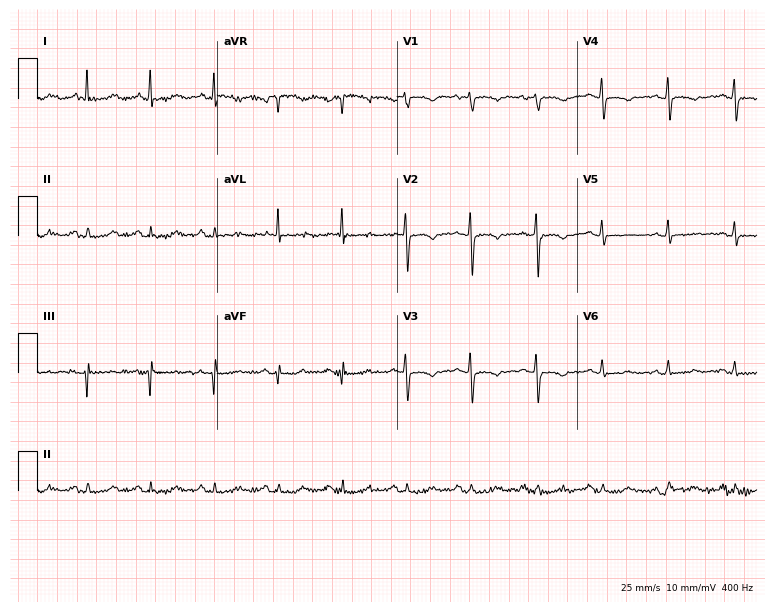
Electrocardiogram (7.3-second recording at 400 Hz), a 68-year-old female patient. Of the six screened findings (first-degree AV block, right bundle branch block, left bundle branch block, sinus bradycardia, atrial fibrillation, sinus tachycardia), none is recorded. Only these six findings were labelled.